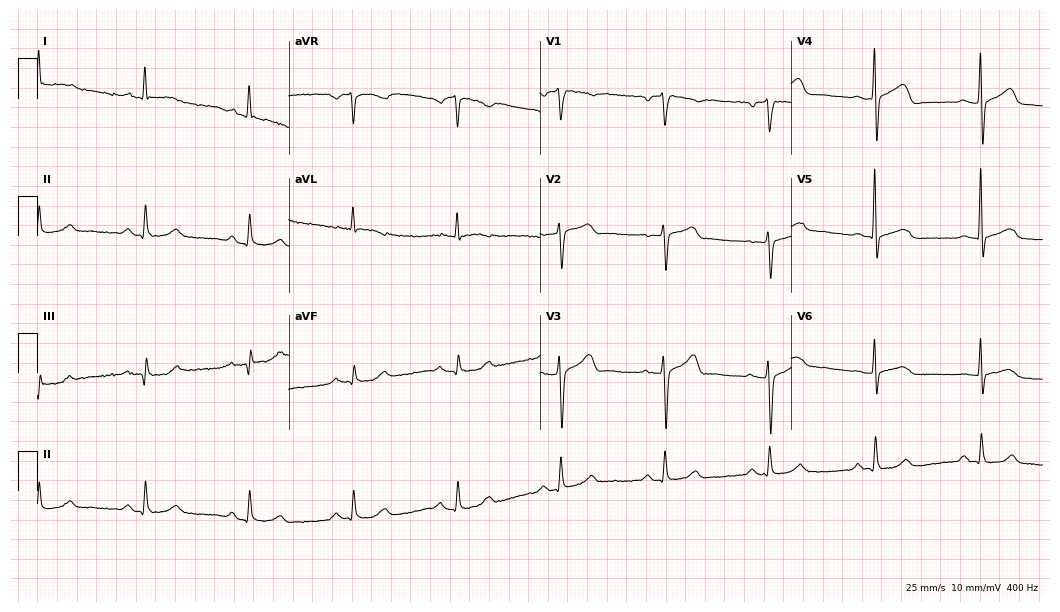
12-lead ECG (10.2-second recording at 400 Hz) from a 73-year-old man. Labelled as a normal ECG.